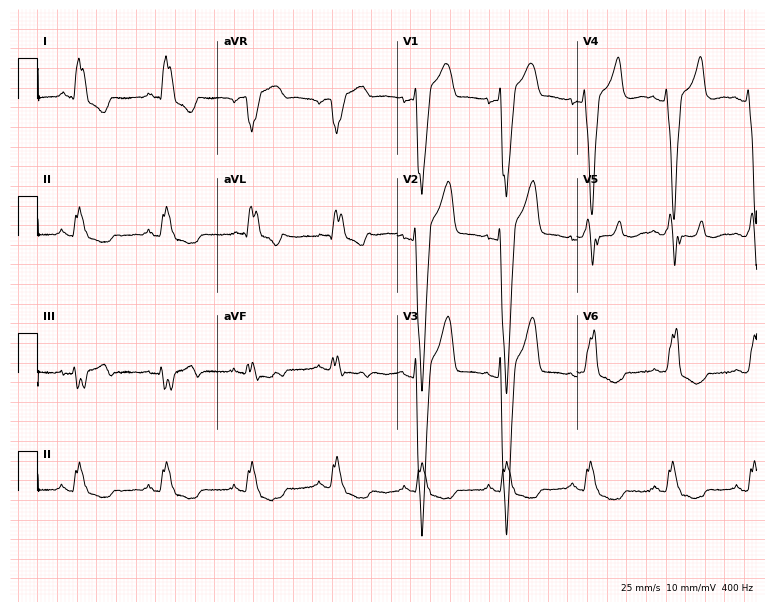
Resting 12-lead electrocardiogram (7.3-second recording at 400 Hz). Patient: a 57-year-old male. The tracing shows left bundle branch block.